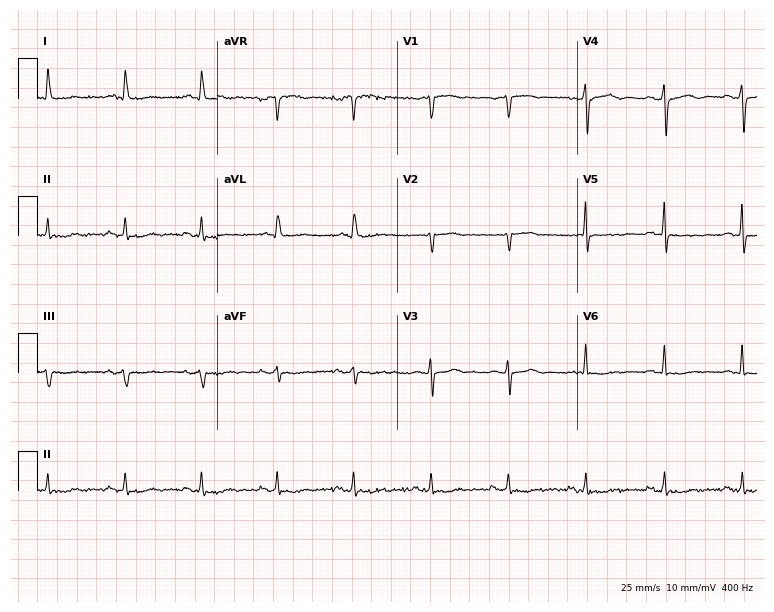
Standard 12-lead ECG recorded from a female patient, 64 years old (7.3-second recording at 400 Hz). None of these six findings is recorded: first-degree AV block, right bundle branch block, left bundle branch block, sinus bradycardia, atrial fibrillation, sinus tachycardia. Other findings, if any, are not listed.